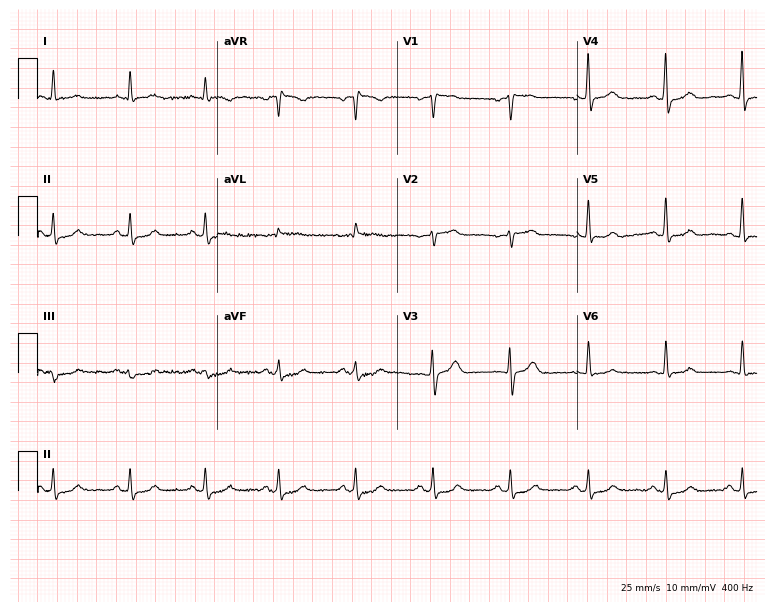
Resting 12-lead electrocardiogram (7.3-second recording at 400 Hz). Patient: a female, 71 years old. None of these six findings is recorded: first-degree AV block, right bundle branch block, left bundle branch block, sinus bradycardia, atrial fibrillation, sinus tachycardia. Only these six findings were labelled.